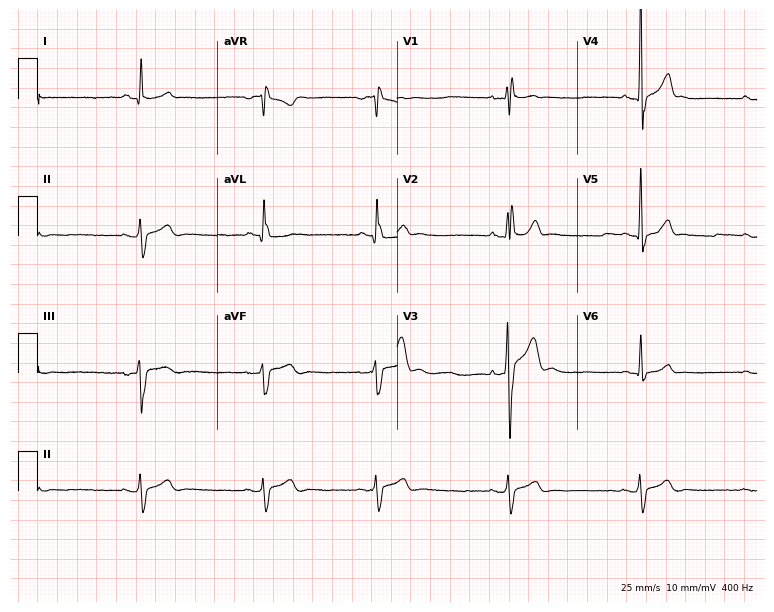
Resting 12-lead electrocardiogram (7.3-second recording at 400 Hz). Patient: a 19-year-old male. None of these six findings is recorded: first-degree AV block, right bundle branch block, left bundle branch block, sinus bradycardia, atrial fibrillation, sinus tachycardia. Findings outside these six are not listed.